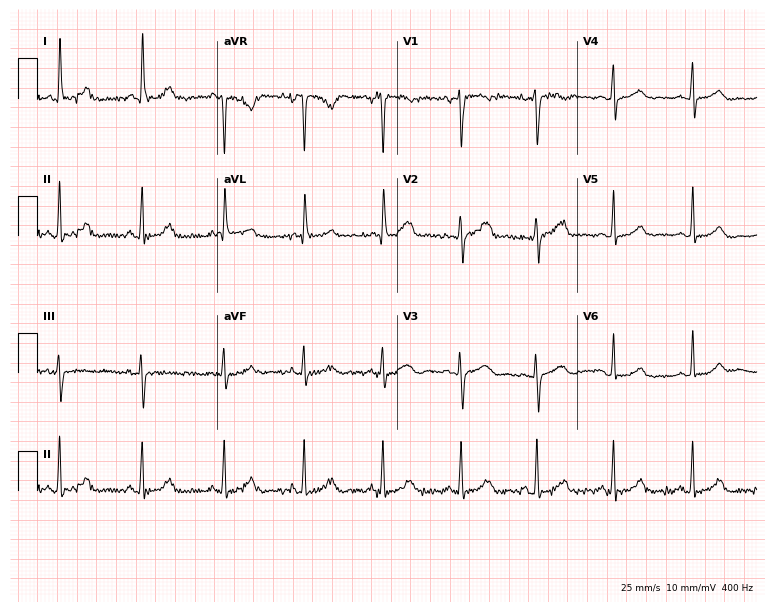
12-lead ECG (7.3-second recording at 400 Hz) from a woman, 49 years old. Labelled as a normal ECG.